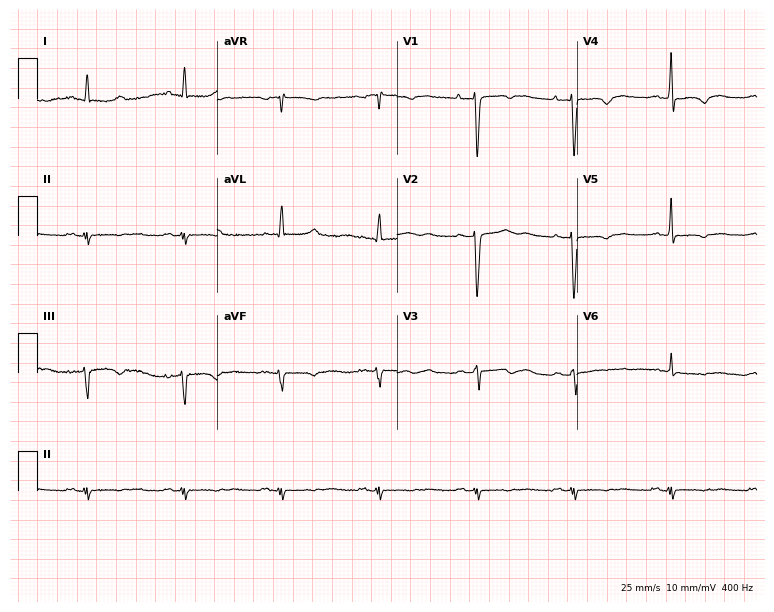
12-lead ECG from a woman, 41 years old. Screened for six findings — first-degree AV block, right bundle branch block (RBBB), left bundle branch block (LBBB), sinus bradycardia, atrial fibrillation (AF), sinus tachycardia — none is recorded. Only these six findings were labelled.